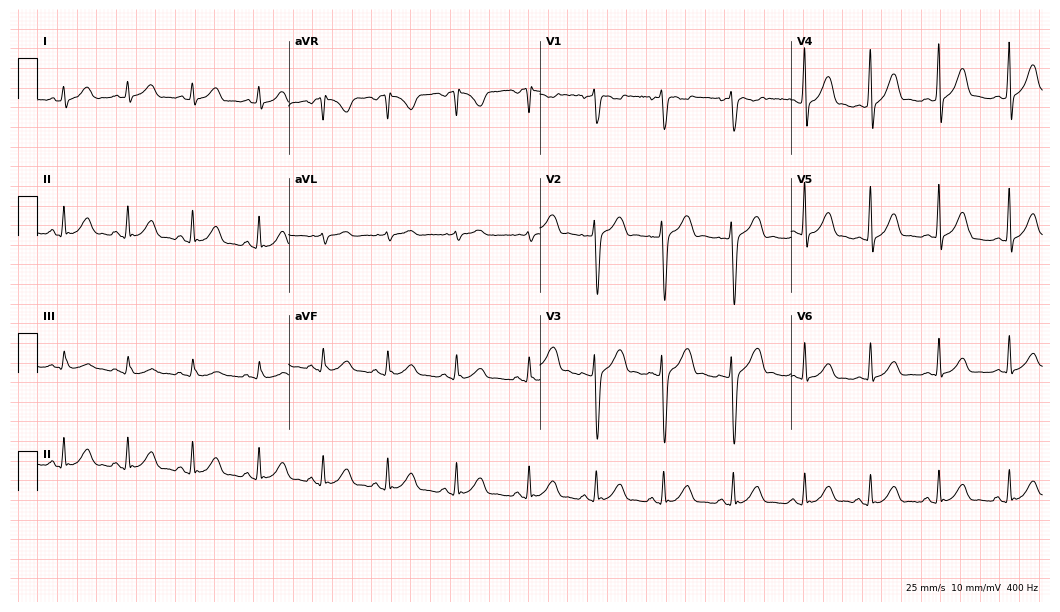
12-lead ECG from a female, 27 years old. Screened for six findings — first-degree AV block, right bundle branch block, left bundle branch block, sinus bradycardia, atrial fibrillation, sinus tachycardia — none is recorded.